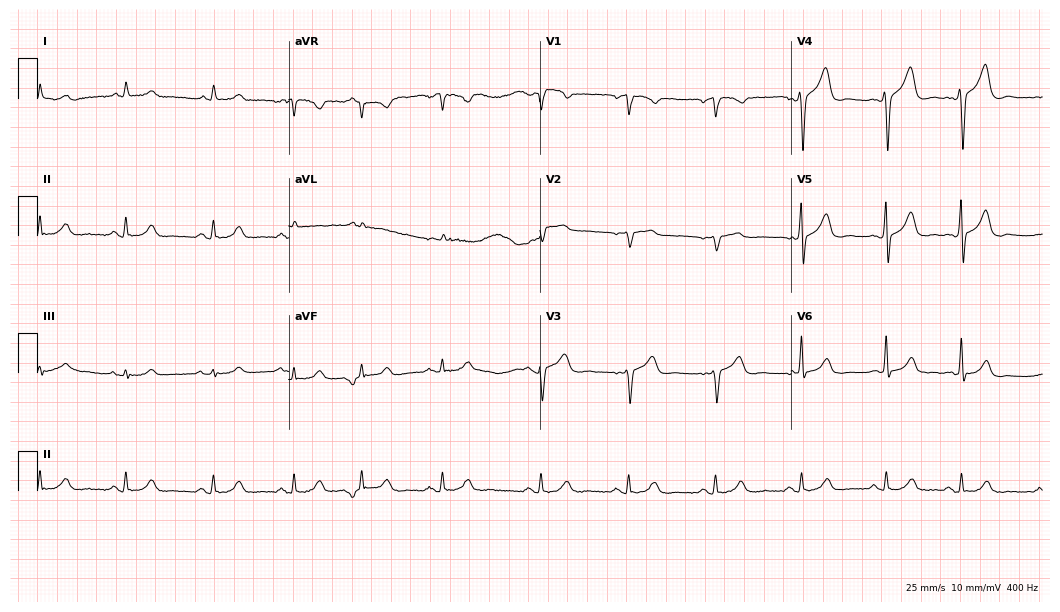
Resting 12-lead electrocardiogram. Patient: an 85-year-old male. Read as a normal ECG.